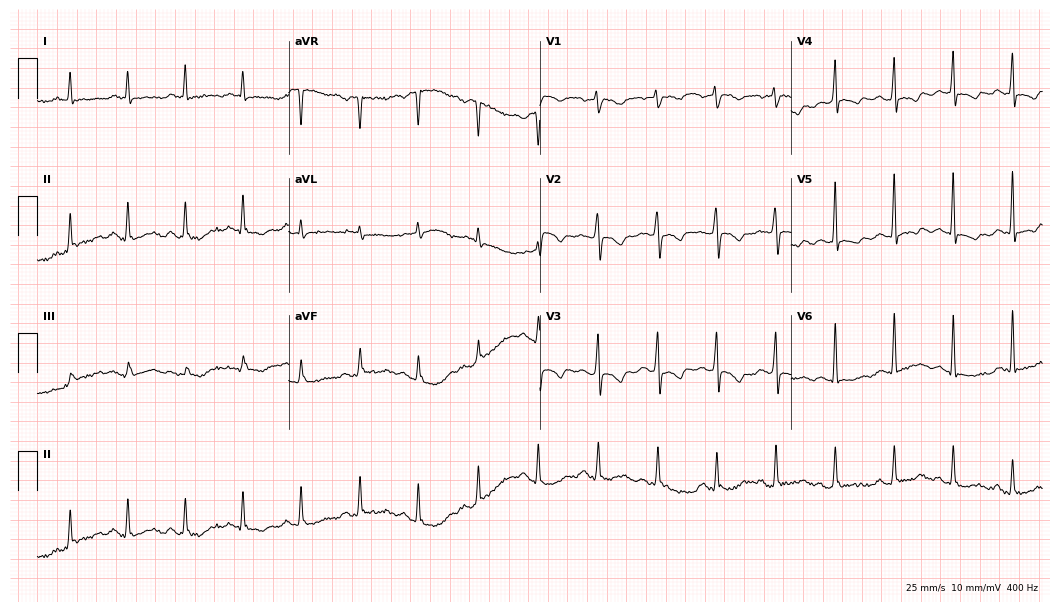
Electrocardiogram, a 54-year-old woman. Of the six screened findings (first-degree AV block, right bundle branch block, left bundle branch block, sinus bradycardia, atrial fibrillation, sinus tachycardia), none is recorded. Other findings, if any, are not listed.